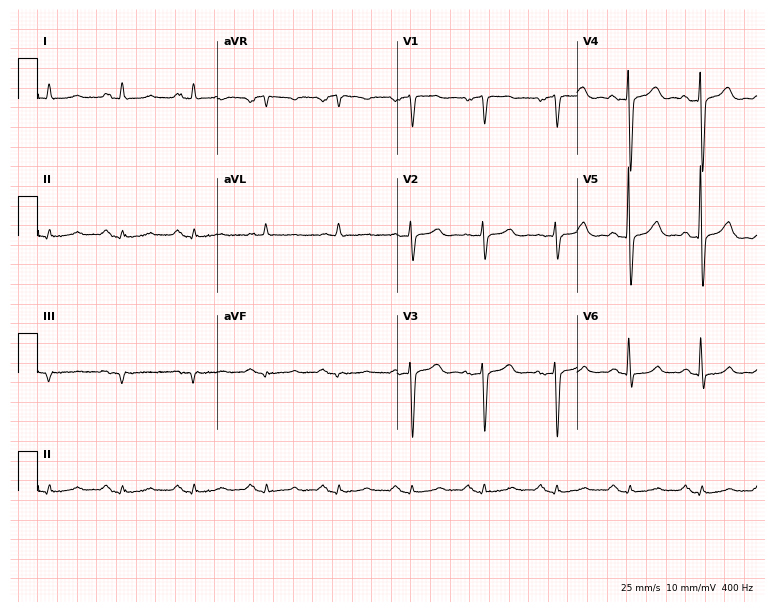
12-lead ECG from a 79-year-old female patient. Labelled as a normal ECG.